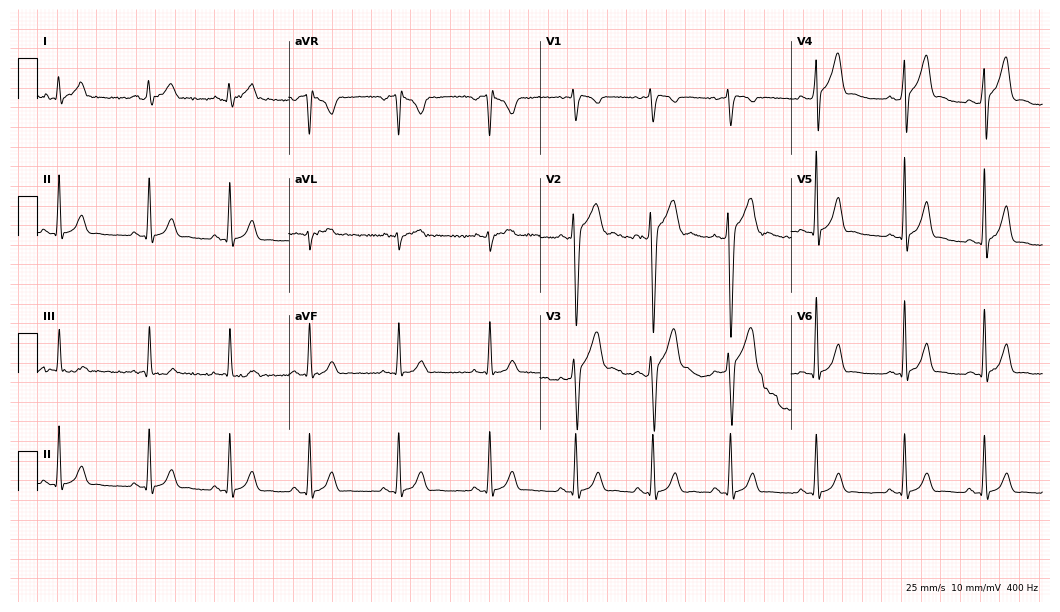
12-lead ECG from a 20-year-old male. Labelled as a normal ECG.